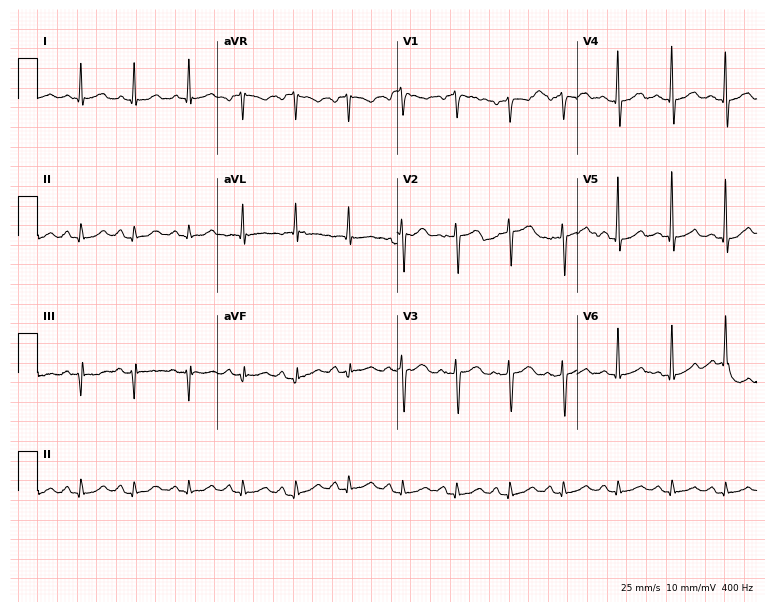
12-lead ECG from a female, 55 years old (7.3-second recording at 400 Hz). Shows sinus tachycardia (a sinus rate of 100 beats per minute or more).